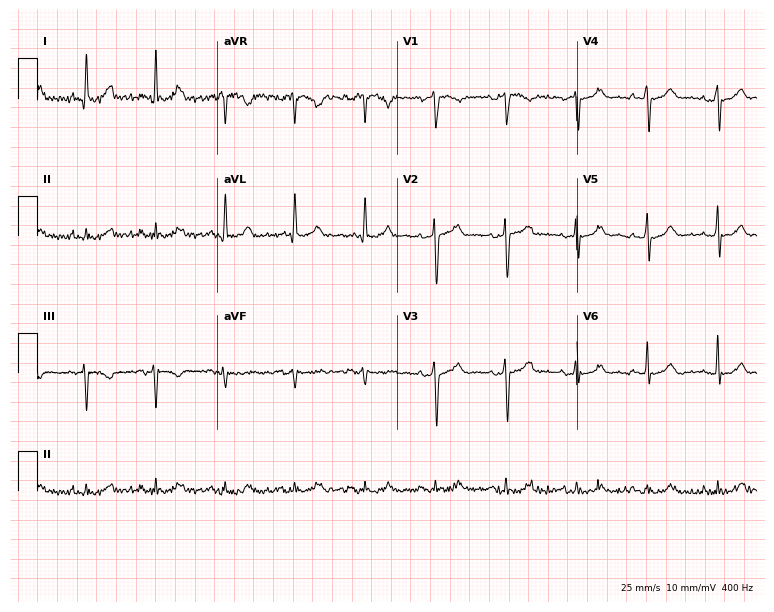
Resting 12-lead electrocardiogram. Patient: a male, 77 years old. None of these six findings is recorded: first-degree AV block, right bundle branch block, left bundle branch block, sinus bradycardia, atrial fibrillation, sinus tachycardia. Findings outside these six are not listed.